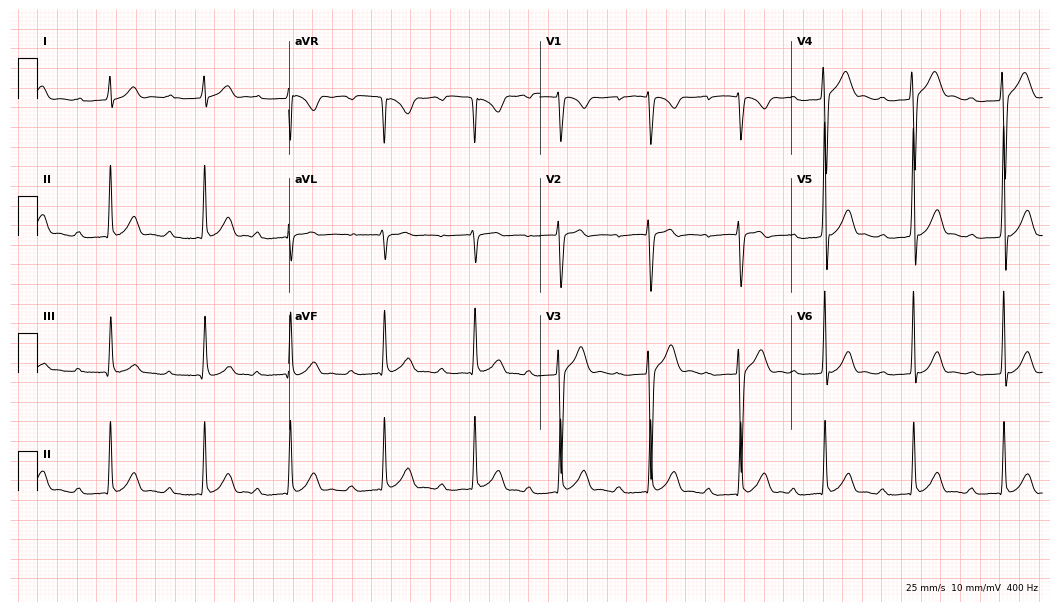
Resting 12-lead electrocardiogram. Patient: a 19-year-old male. The tracing shows first-degree AV block.